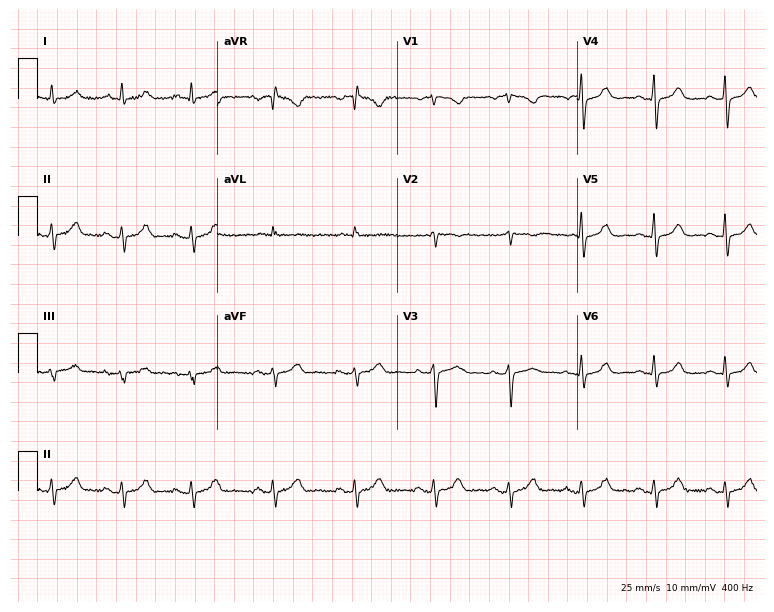
Resting 12-lead electrocardiogram (7.3-second recording at 400 Hz). Patient: a 69-year-old female. None of these six findings is recorded: first-degree AV block, right bundle branch block (RBBB), left bundle branch block (LBBB), sinus bradycardia, atrial fibrillation (AF), sinus tachycardia.